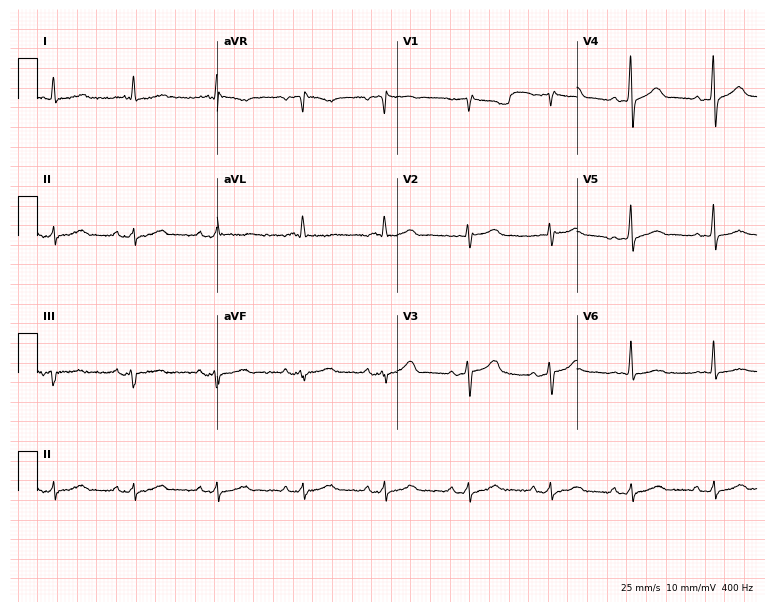
Electrocardiogram (7.3-second recording at 400 Hz), a male patient, 85 years old. Of the six screened findings (first-degree AV block, right bundle branch block, left bundle branch block, sinus bradycardia, atrial fibrillation, sinus tachycardia), none is recorded.